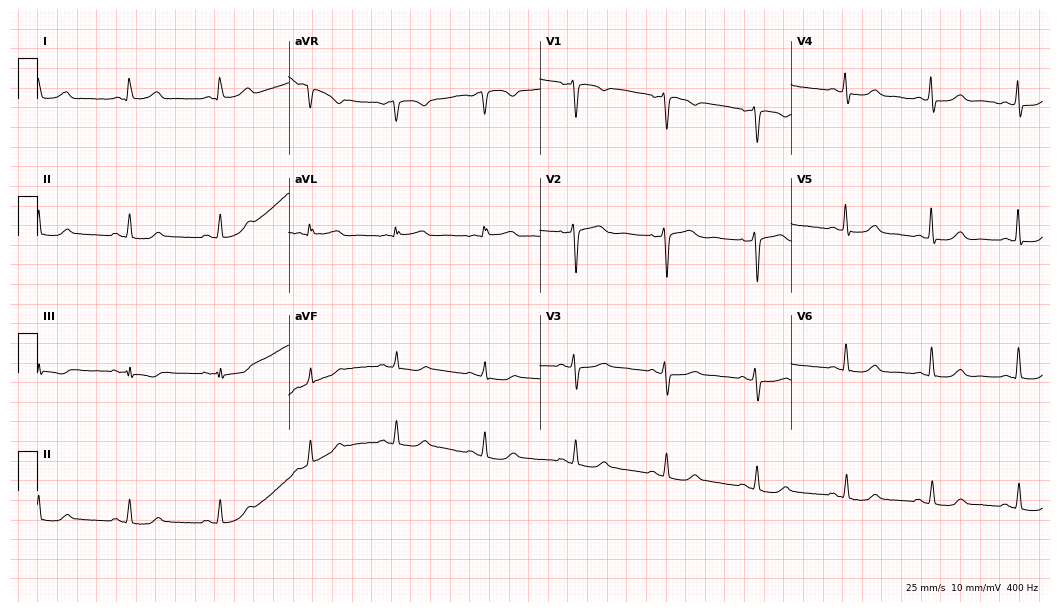
12-lead ECG from a female, 62 years old. No first-degree AV block, right bundle branch block, left bundle branch block, sinus bradycardia, atrial fibrillation or sinus tachycardia recorded for this tracing. Other findings, if any, are not listed.